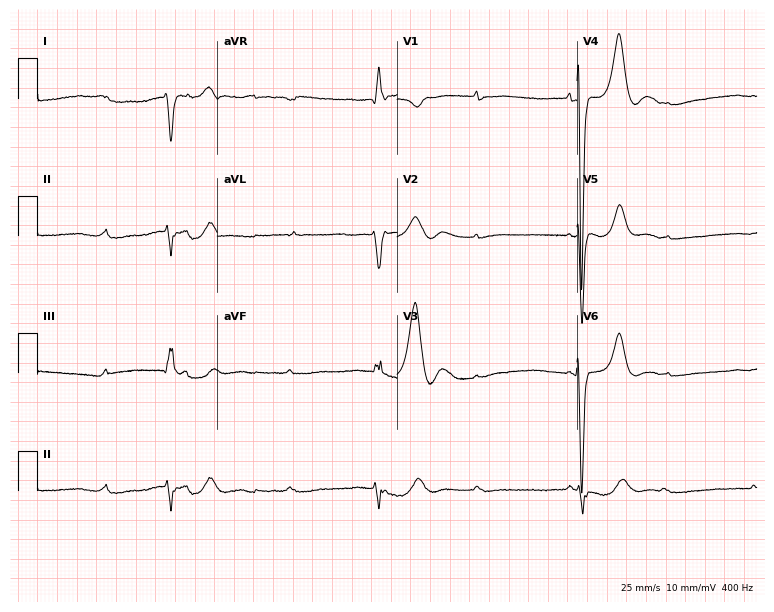
Electrocardiogram, a 79-year-old woman. Of the six screened findings (first-degree AV block, right bundle branch block (RBBB), left bundle branch block (LBBB), sinus bradycardia, atrial fibrillation (AF), sinus tachycardia), none is recorded. Other findings, if any, are not listed.